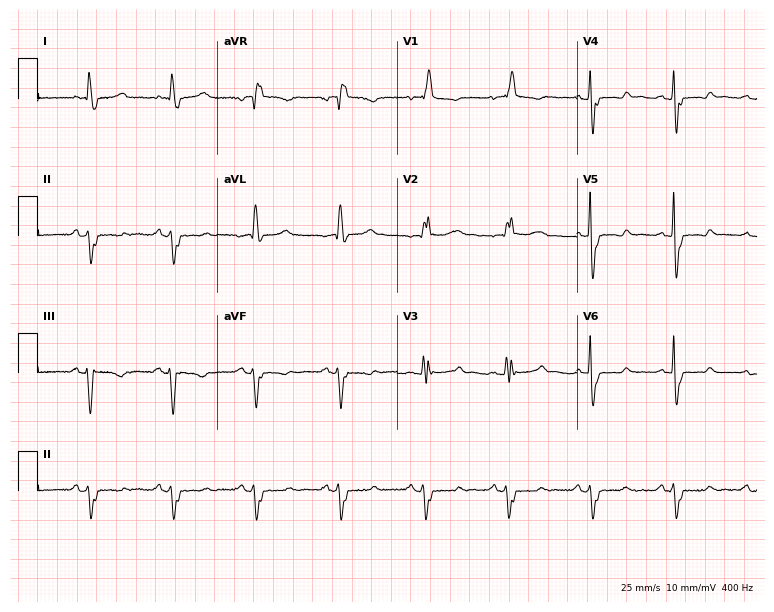
Resting 12-lead electrocardiogram. Patient: a 61-year-old female. The tracing shows right bundle branch block.